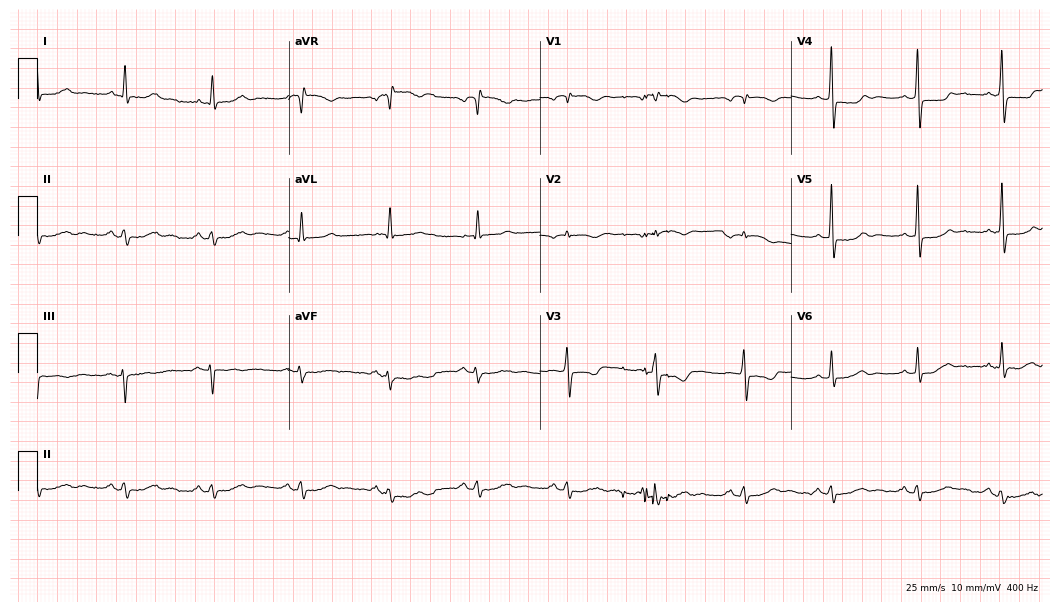
12-lead ECG from a female patient, 68 years old (10.2-second recording at 400 Hz). No first-degree AV block, right bundle branch block, left bundle branch block, sinus bradycardia, atrial fibrillation or sinus tachycardia recorded for this tracing. Only these six findings were labelled.